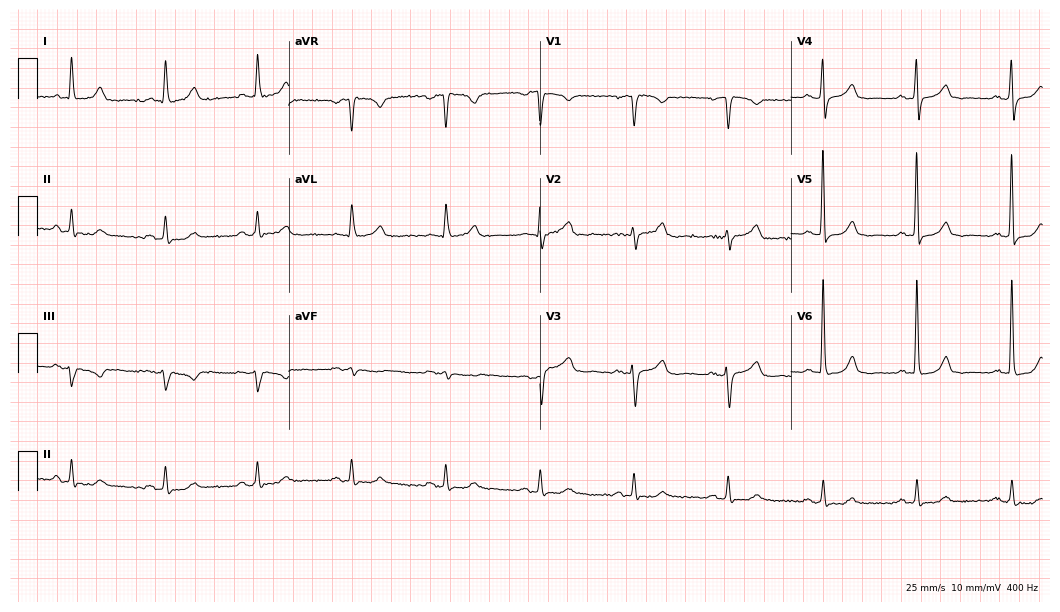
Standard 12-lead ECG recorded from a woman, 67 years old (10.2-second recording at 400 Hz). Read as a normal ECG.